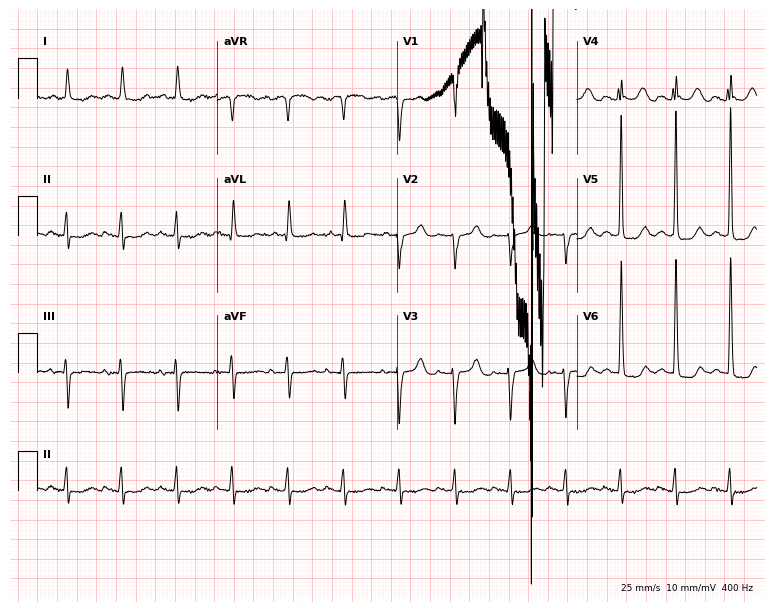
12-lead ECG (7.3-second recording at 400 Hz) from a 71-year-old woman. Screened for six findings — first-degree AV block, right bundle branch block, left bundle branch block, sinus bradycardia, atrial fibrillation, sinus tachycardia — none is recorded. Only these six findings were labelled.